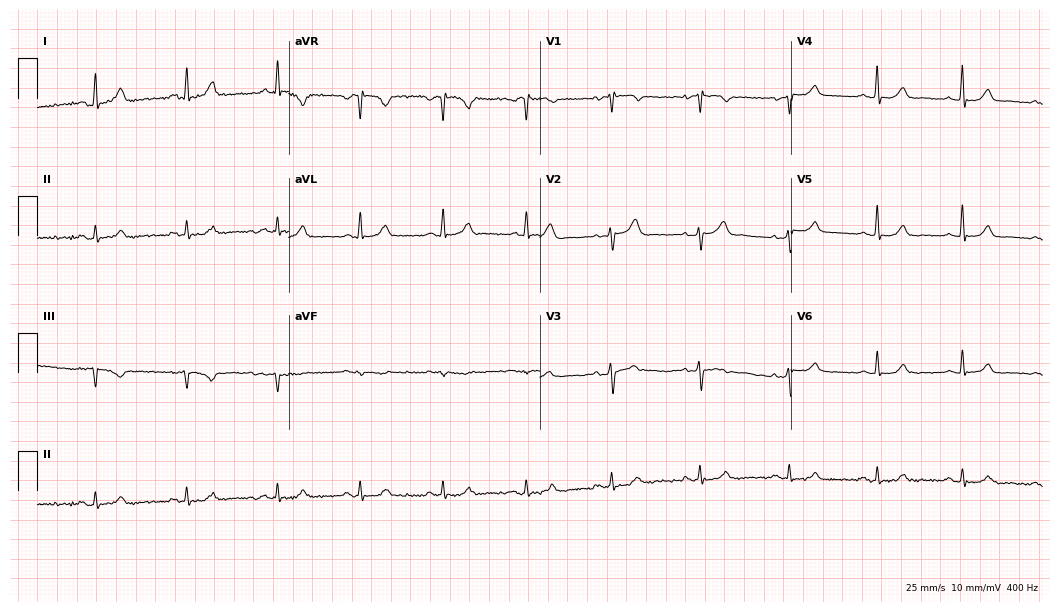
Electrocardiogram (10.2-second recording at 400 Hz), a female patient, 54 years old. Of the six screened findings (first-degree AV block, right bundle branch block, left bundle branch block, sinus bradycardia, atrial fibrillation, sinus tachycardia), none is recorded.